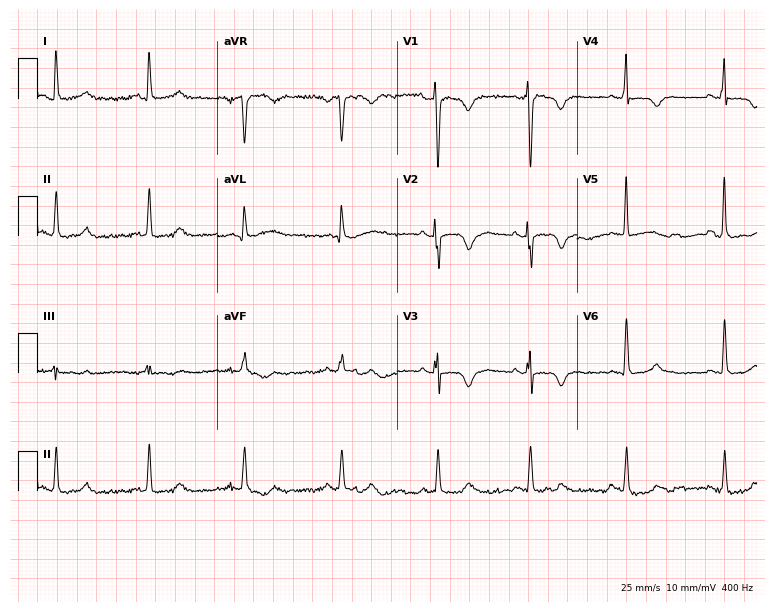
12-lead ECG from a woman, 48 years old. No first-degree AV block, right bundle branch block, left bundle branch block, sinus bradycardia, atrial fibrillation or sinus tachycardia recorded for this tracing.